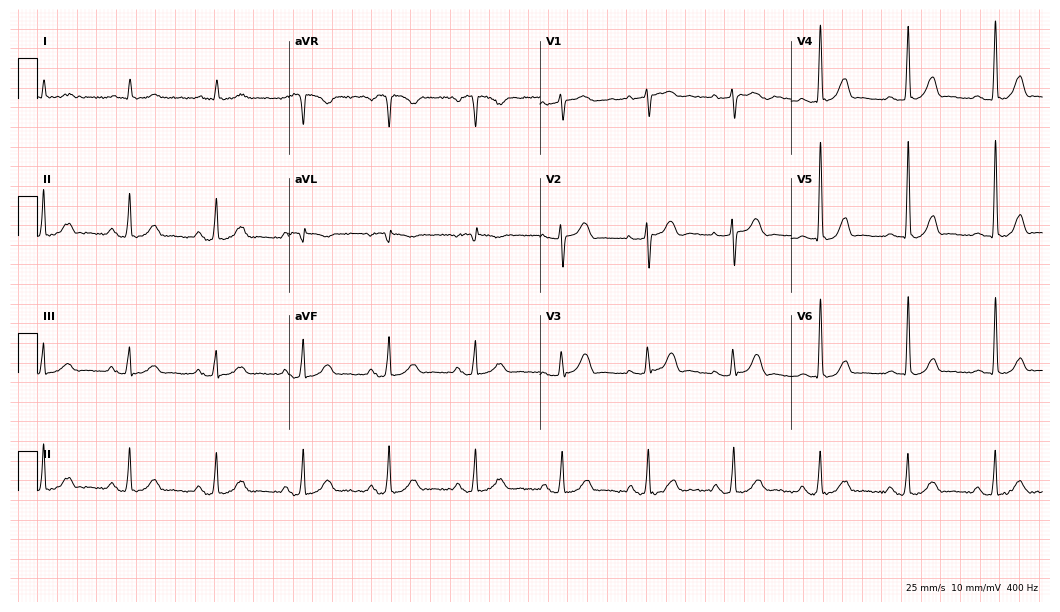
12-lead ECG from a man, 70 years old. No first-degree AV block, right bundle branch block, left bundle branch block, sinus bradycardia, atrial fibrillation or sinus tachycardia recorded for this tracing. Other findings, if any, are not listed.